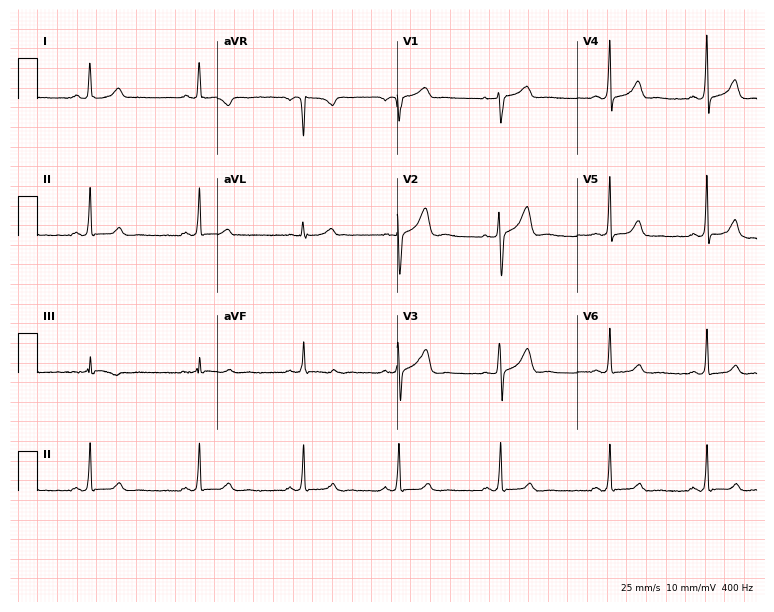
12-lead ECG from a female patient, 35 years old. Recorded interpretation: within normal limits.